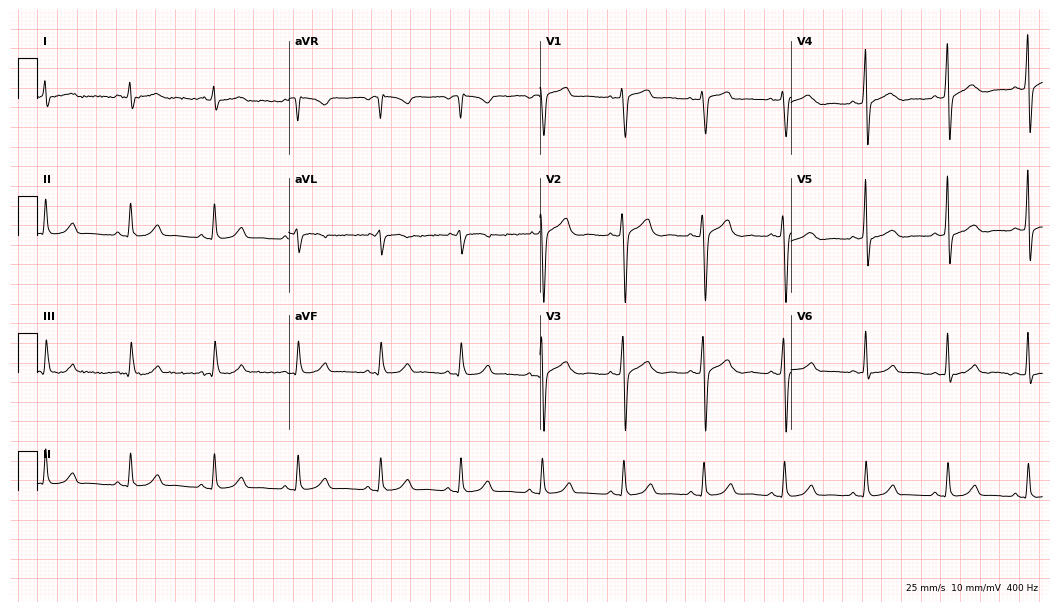
Electrocardiogram (10.2-second recording at 400 Hz), a man, 50 years old. Overall reading on record: normal ECG.